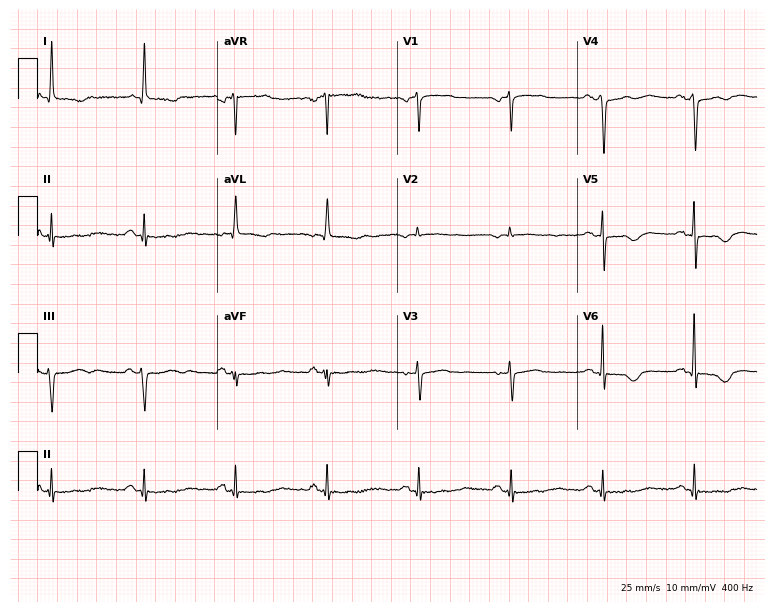
ECG (7.3-second recording at 400 Hz) — a female patient, 80 years old. Screened for six findings — first-degree AV block, right bundle branch block, left bundle branch block, sinus bradycardia, atrial fibrillation, sinus tachycardia — none is recorded. Only these six findings were labelled.